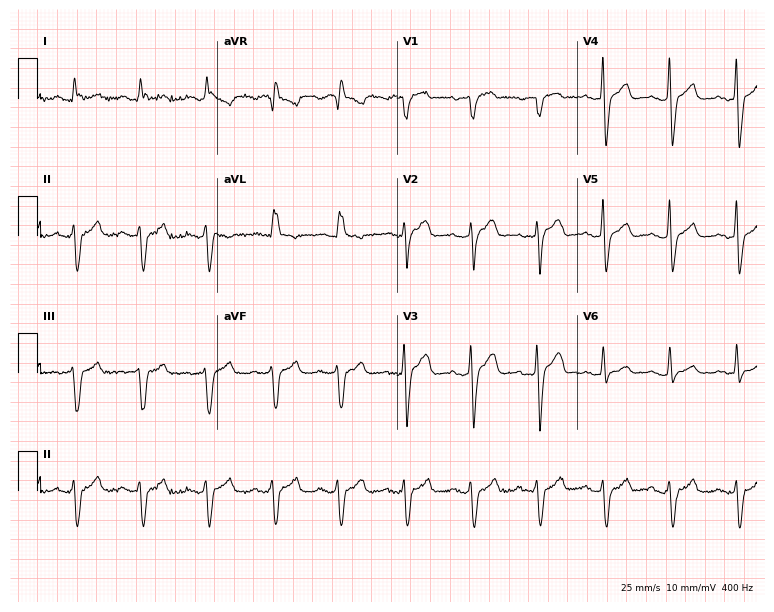
Standard 12-lead ECG recorded from a 62-year-old man. The tracing shows left bundle branch block (LBBB).